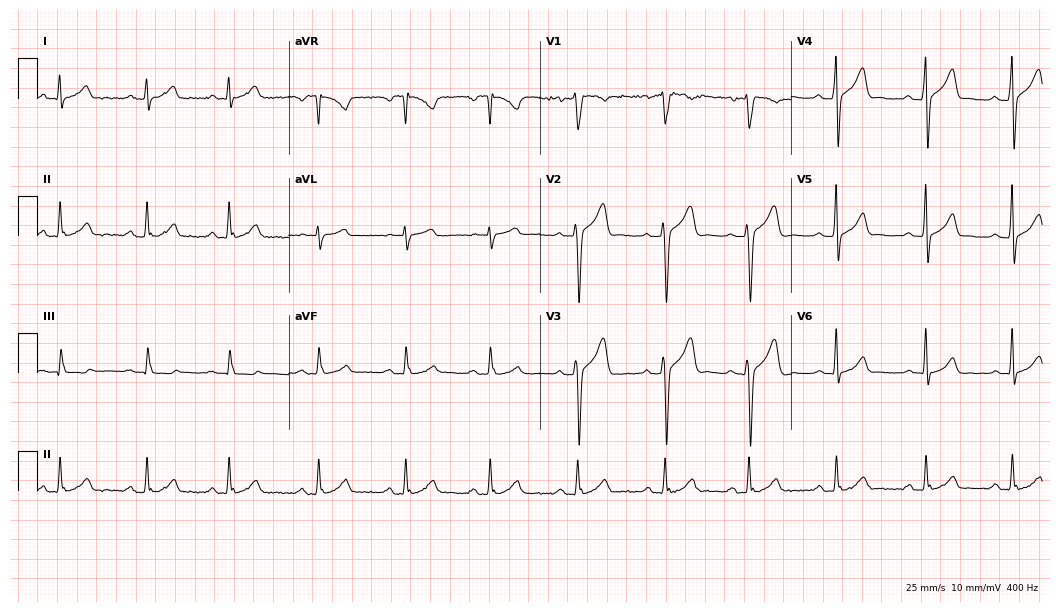
Electrocardiogram, a male patient, 22 years old. Overall reading on record: normal ECG.